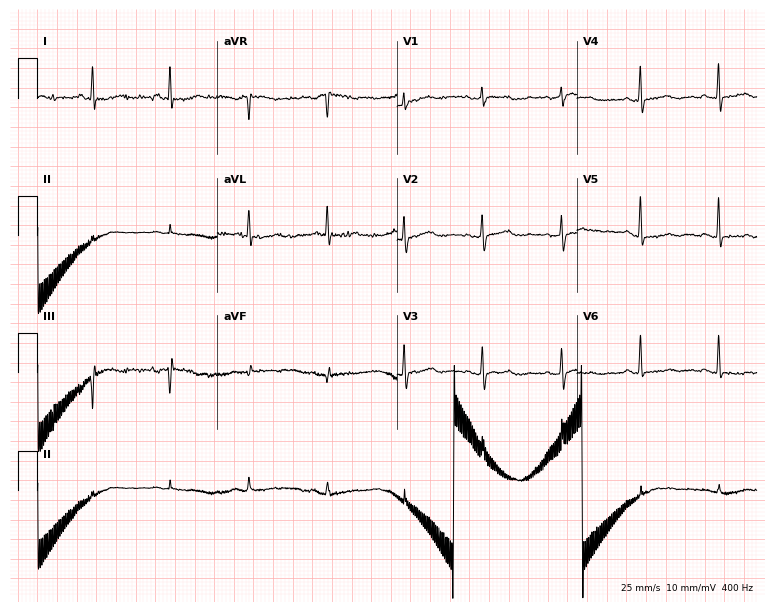
Resting 12-lead electrocardiogram. Patient: a female, 77 years old. None of these six findings is recorded: first-degree AV block, right bundle branch block, left bundle branch block, sinus bradycardia, atrial fibrillation, sinus tachycardia.